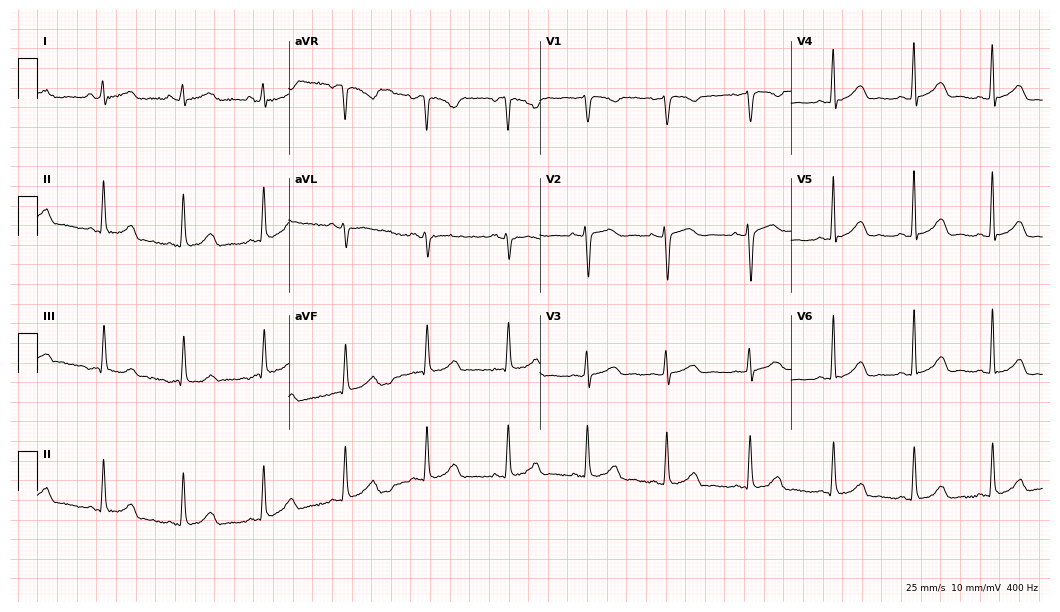
Standard 12-lead ECG recorded from a 34-year-old female patient (10.2-second recording at 400 Hz). None of these six findings is recorded: first-degree AV block, right bundle branch block (RBBB), left bundle branch block (LBBB), sinus bradycardia, atrial fibrillation (AF), sinus tachycardia. Findings outside these six are not listed.